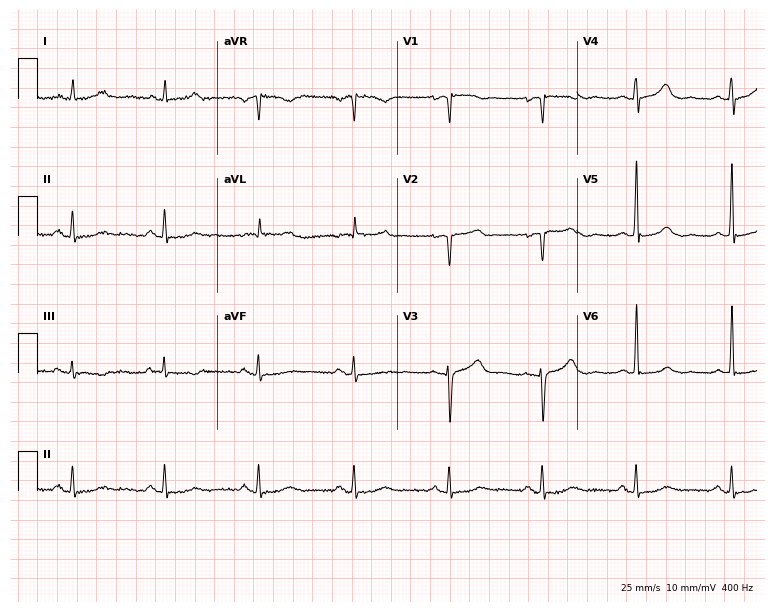
Standard 12-lead ECG recorded from a 74-year-old female (7.3-second recording at 400 Hz). None of these six findings is recorded: first-degree AV block, right bundle branch block (RBBB), left bundle branch block (LBBB), sinus bradycardia, atrial fibrillation (AF), sinus tachycardia. Other findings, if any, are not listed.